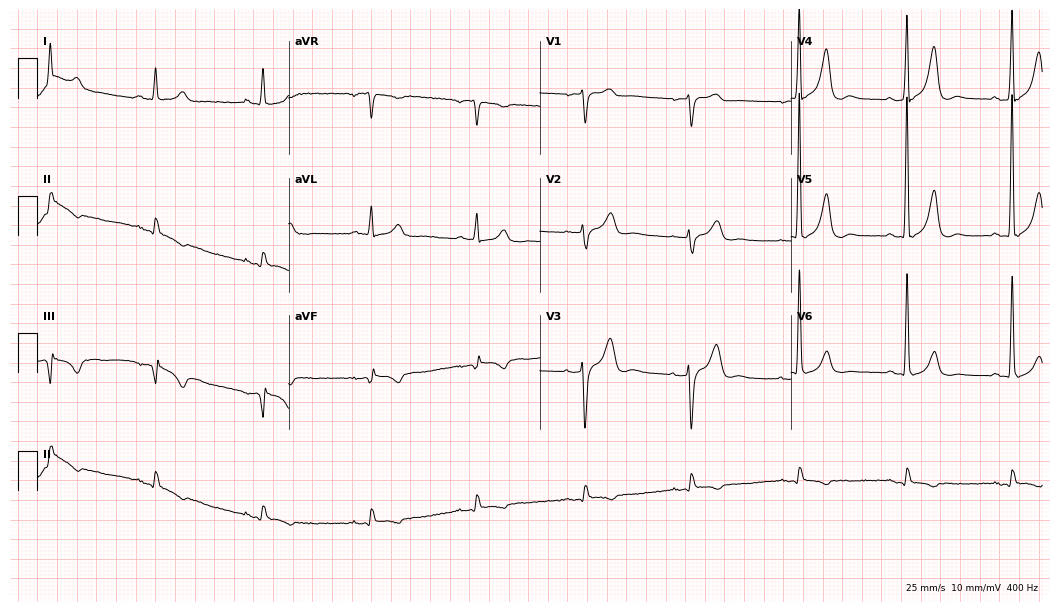
12-lead ECG from a man, 72 years old (10.2-second recording at 400 Hz). No first-degree AV block, right bundle branch block (RBBB), left bundle branch block (LBBB), sinus bradycardia, atrial fibrillation (AF) or sinus tachycardia recorded for this tracing.